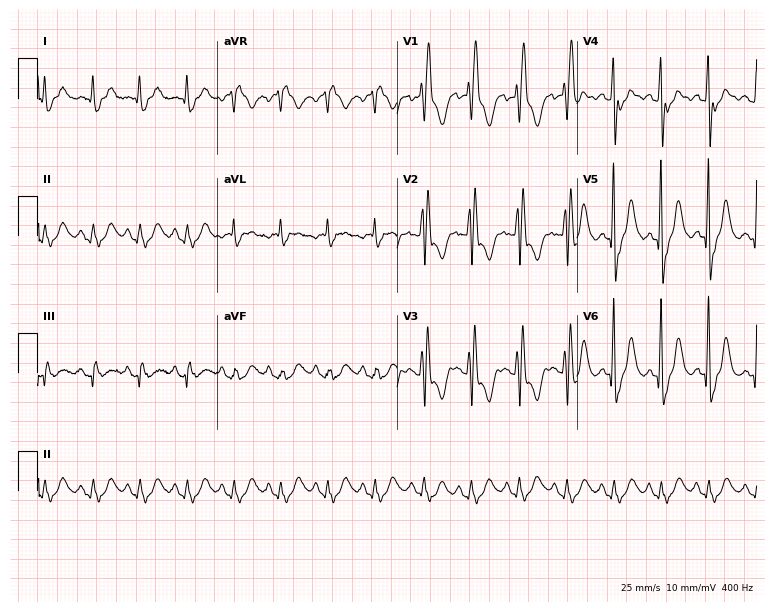
Electrocardiogram, a woman, 77 years old. Interpretation includes right bundle branch block, sinus tachycardia (a sinus rate of 100 beats per minute or more).